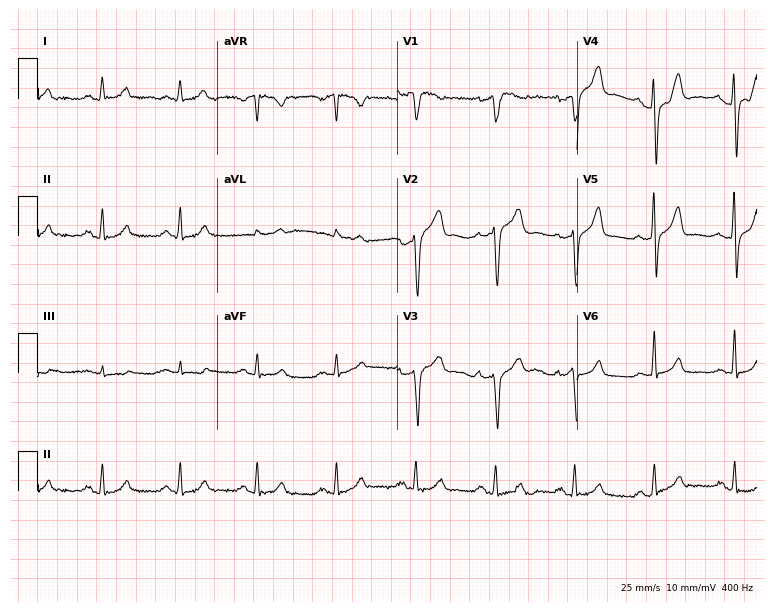
12-lead ECG from a man, 50 years old. No first-degree AV block, right bundle branch block, left bundle branch block, sinus bradycardia, atrial fibrillation or sinus tachycardia recorded for this tracing.